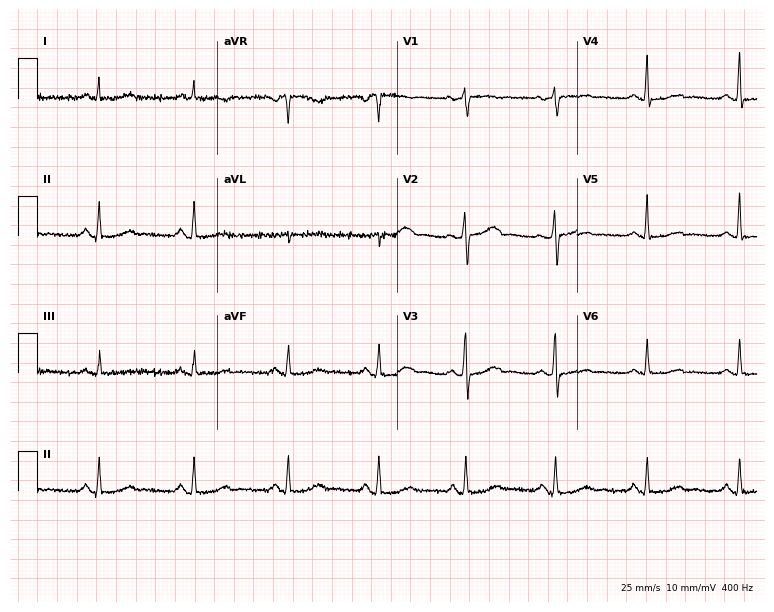
12-lead ECG from a female, 66 years old. Recorded interpretation: within normal limits.